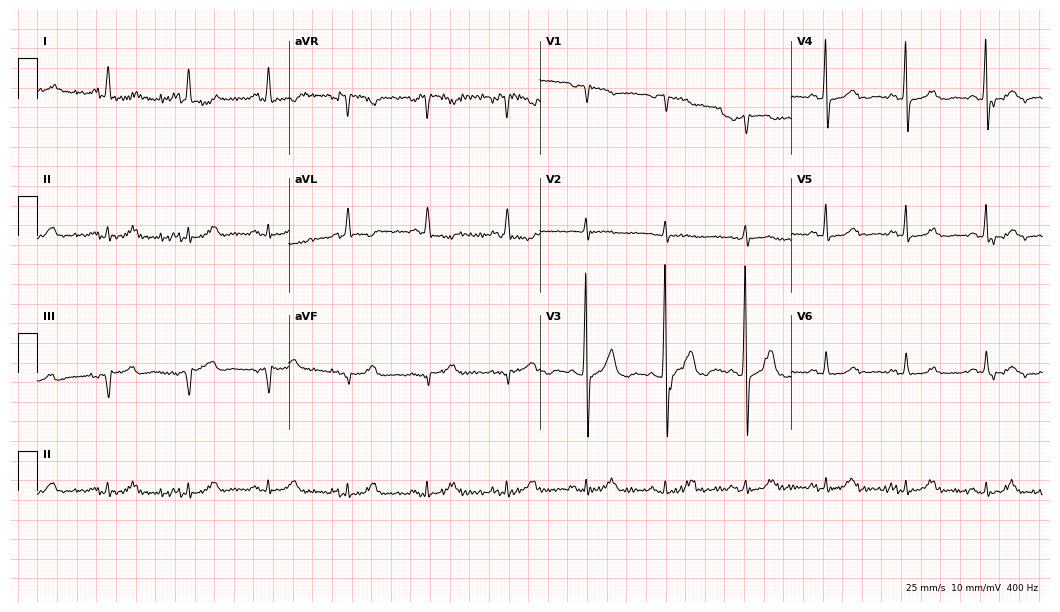
Electrocardiogram, a woman, 64 years old. Of the six screened findings (first-degree AV block, right bundle branch block, left bundle branch block, sinus bradycardia, atrial fibrillation, sinus tachycardia), none is recorded. Findings outside these six are not listed.